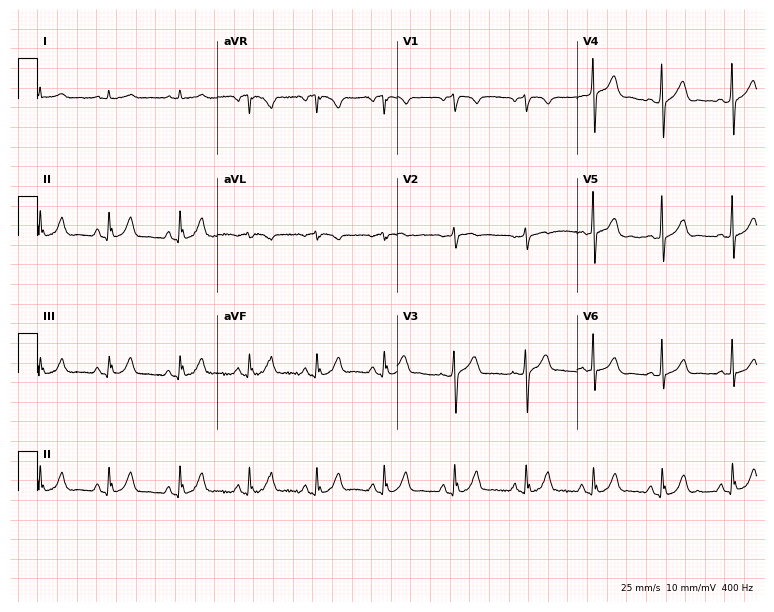
Resting 12-lead electrocardiogram (7.3-second recording at 400 Hz). Patient: a 75-year-old man. Read as a normal ECG.